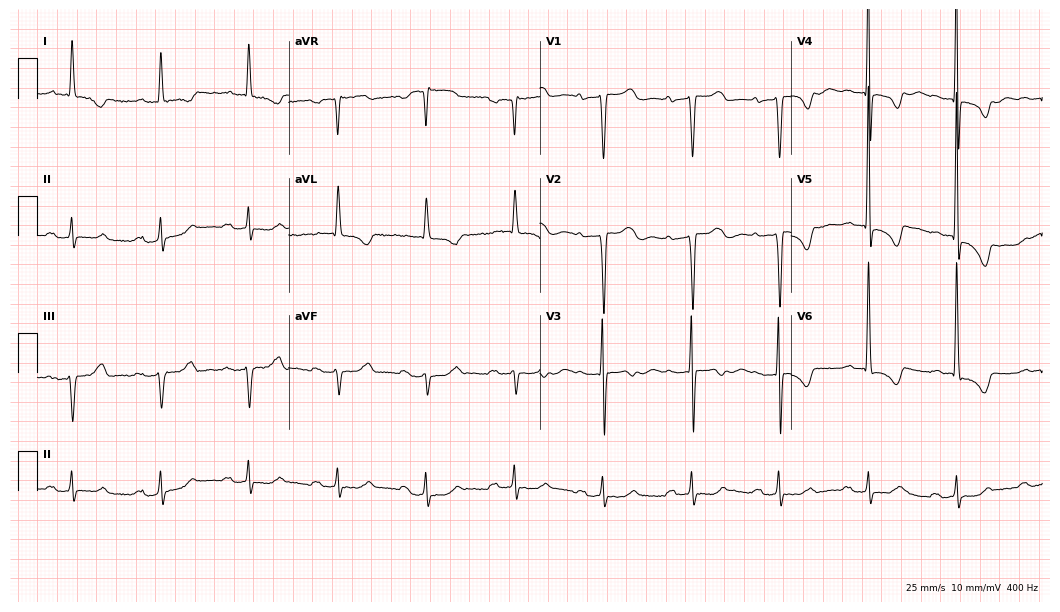
Standard 12-lead ECG recorded from a 75-year-old female patient. None of these six findings is recorded: first-degree AV block, right bundle branch block, left bundle branch block, sinus bradycardia, atrial fibrillation, sinus tachycardia.